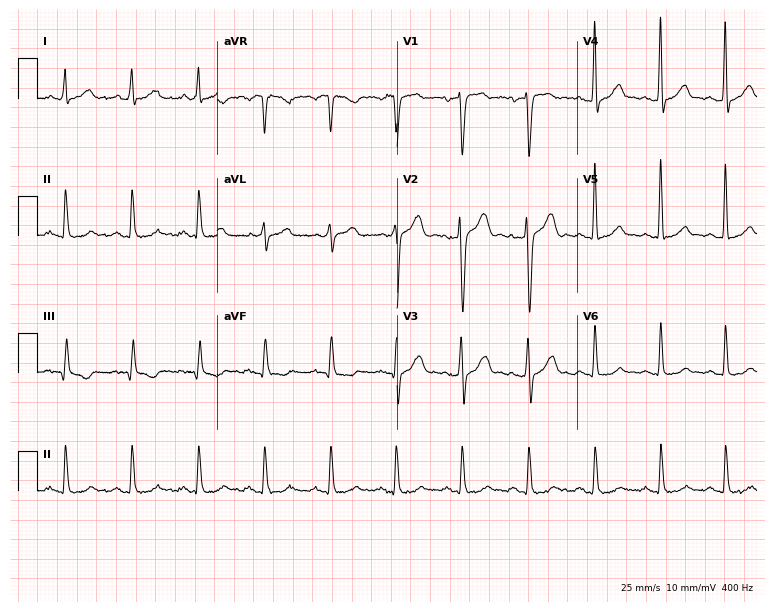
12-lead ECG from a 47-year-old male patient. No first-degree AV block, right bundle branch block (RBBB), left bundle branch block (LBBB), sinus bradycardia, atrial fibrillation (AF) or sinus tachycardia recorded for this tracing. Only these six findings were labelled.